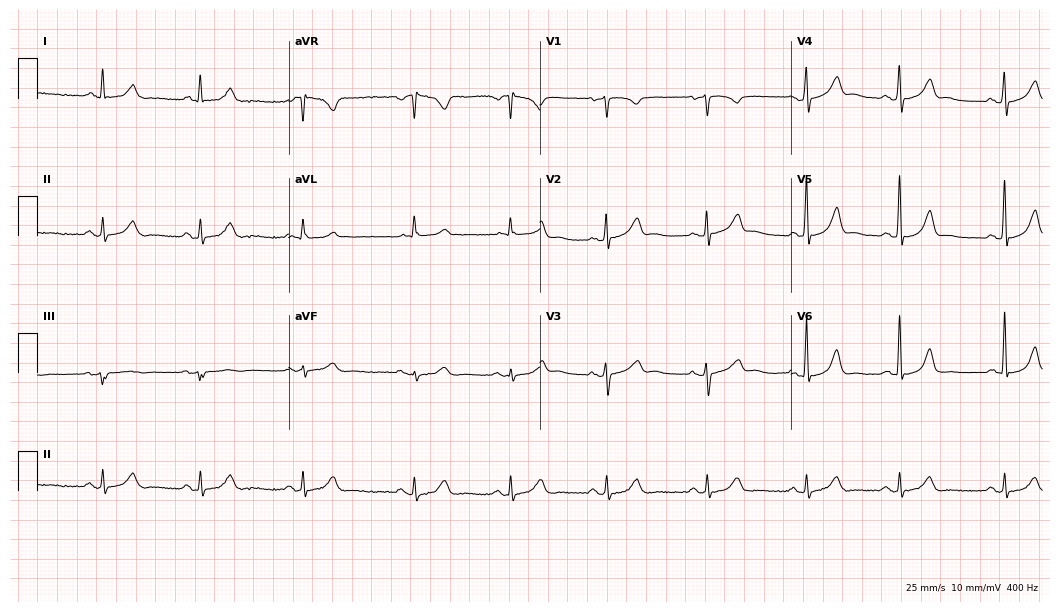
Electrocardiogram, a female patient, 44 years old. Overall reading on record: normal ECG.